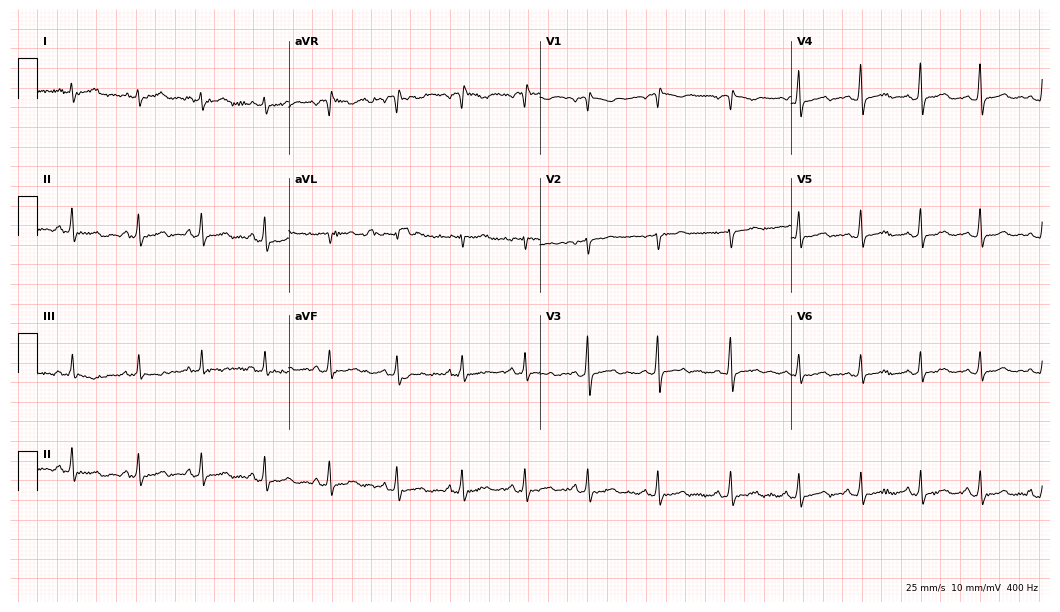
12-lead ECG from a female patient, 28 years old. Screened for six findings — first-degree AV block, right bundle branch block (RBBB), left bundle branch block (LBBB), sinus bradycardia, atrial fibrillation (AF), sinus tachycardia — none is recorded. Other findings, if any, are not listed.